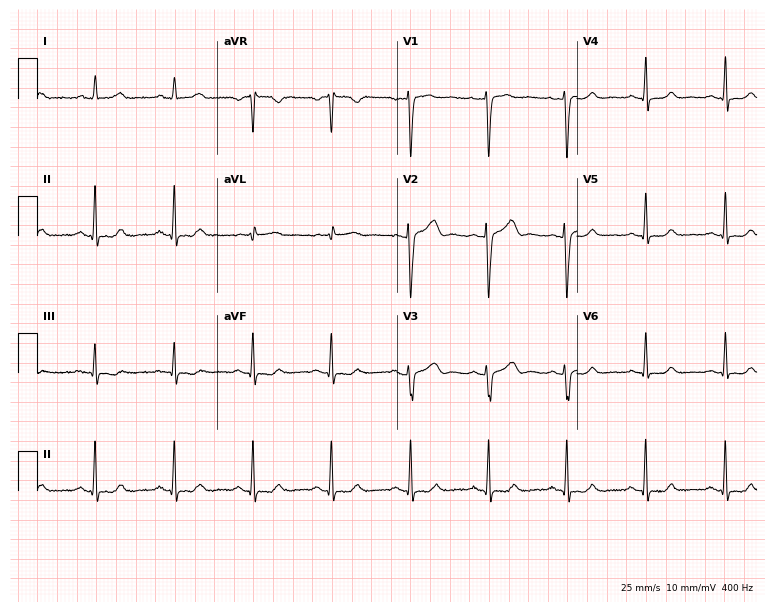
ECG — a 44-year-old female patient. Labelled as a normal ECG.